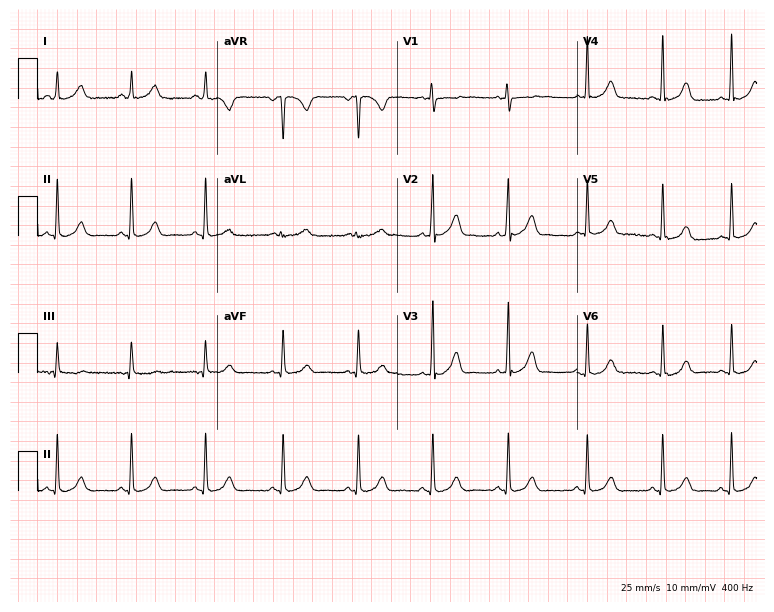
Standard 12-lead ECG recorded from a 20-year-old female (7.3-second recording at 400 Hz). None of these six findings is recorded: first-degree AV block, right bundle branch block (RBBB), left bundle branch block (LBBB), sinus bradycardia, atrial fibrillation (AF), sinus tachycardia.